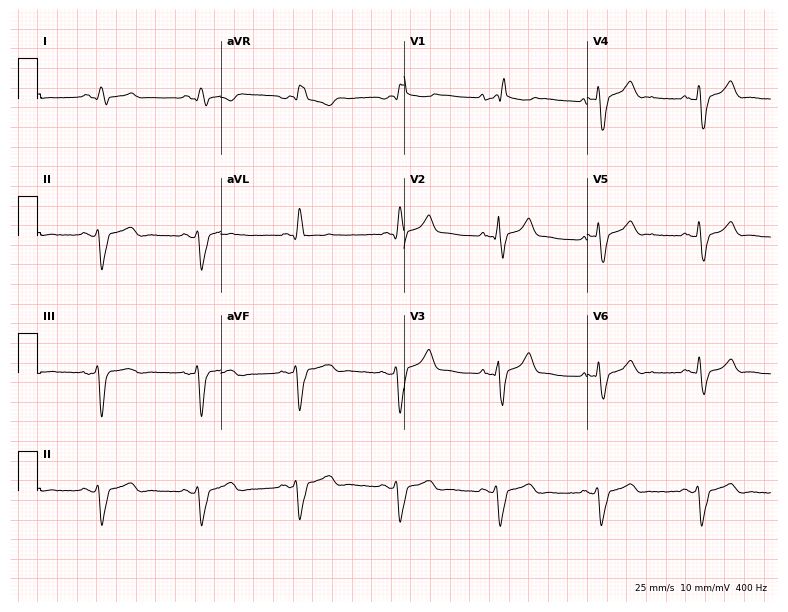
12-lead ECG from a 67-year-old male patient. Screened for six findings — first-degree AV block, right bundle branch block, left bundle branch block, sinus bradycardia, atrial fibrillation, sinus tachycardia — none is recorded. Findings outside these six are not listed.